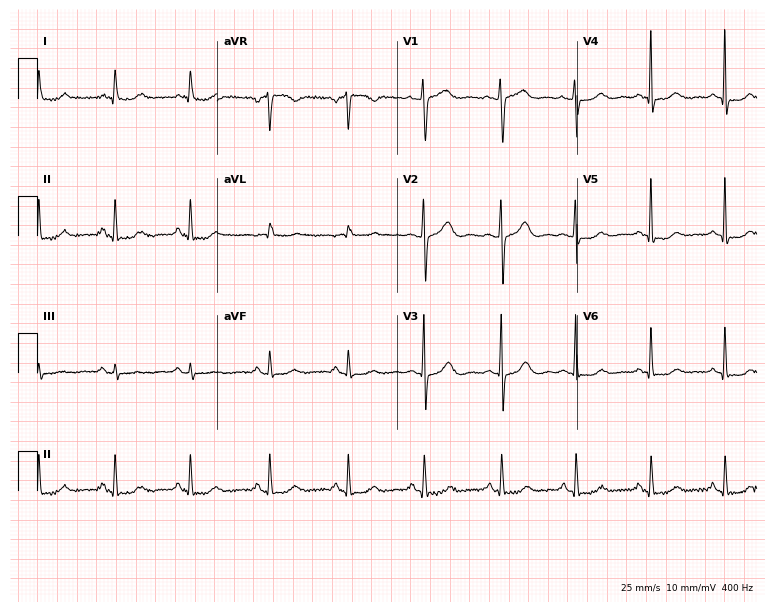
Standard 12-lead ECG recorded from a female patient, 39 years old. Read as a normal ECG.